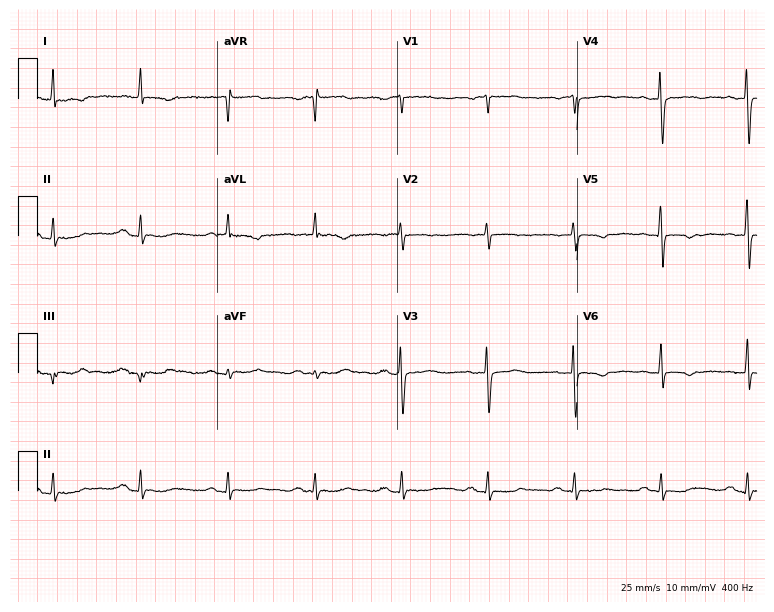
ECG (7.3-second recording at 400 Hz) — a female patient, 85 years old. Screened for six findings — first-degree AV block, right bundle branch block, left bundle branch block, sinus bradycardia, atrial fibrillation, sinus tachycardia — none is recorded. Other findings, if any, are not listed.